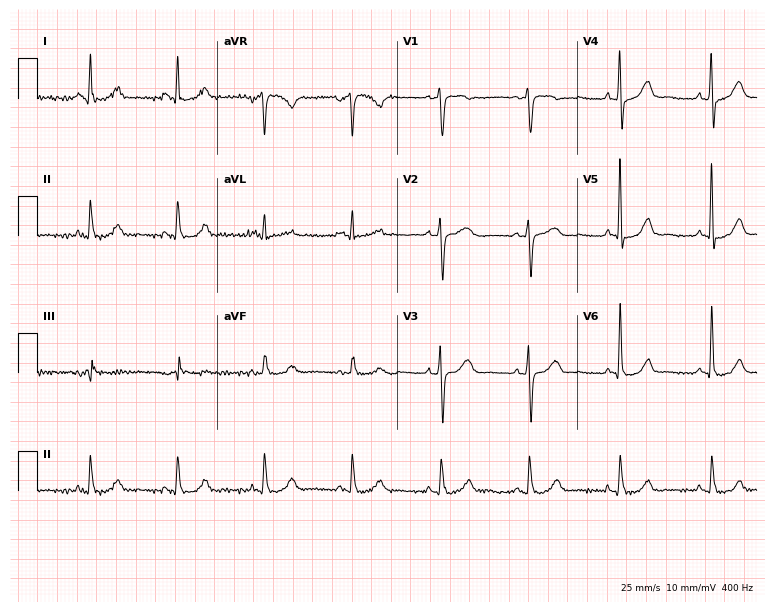
Standard 12-lead ECG recorded from a 57-year-old female (7.3-second recording at 400 Hz). Read as a normal ECG.